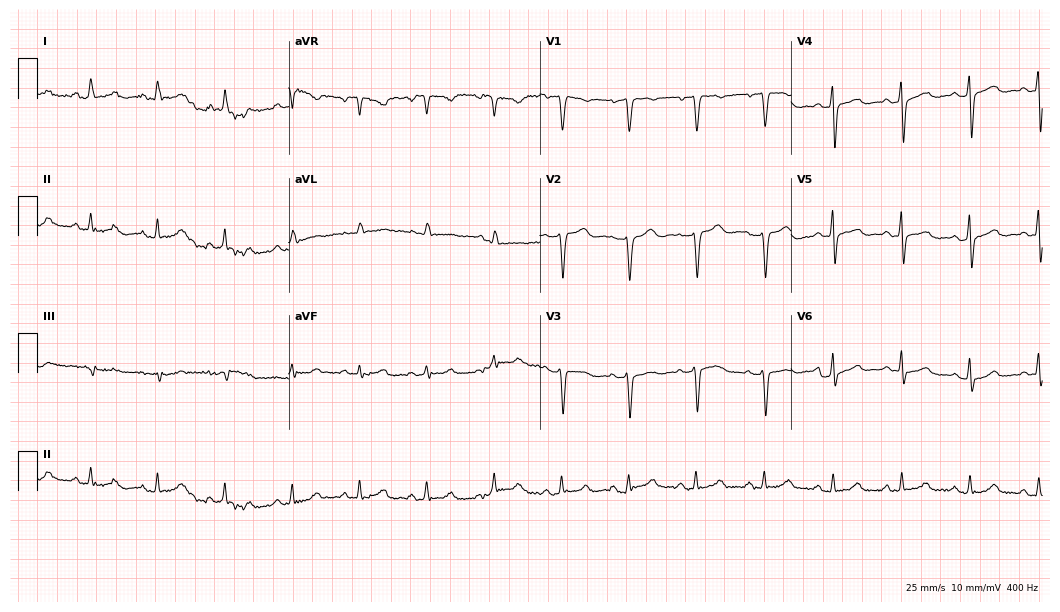
12-lead ECG from a 55-year-old female patient. Screened for six findings — first-degree AV block, right bundle branch block, left bundle branch block, sinus bradycardia, atrial fibrillation, sinus tachycardia — none is recorded. Only these six findings were labelled.